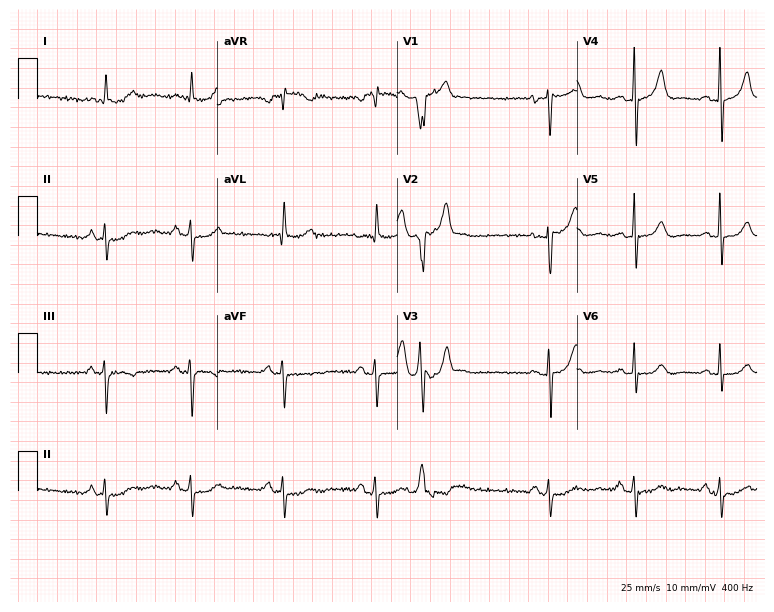
Standard 12-lead ECG recorded from a male, 80 years old (7.3-second recording at 400 Hz). None of these six findings is recorded: first-degree AV block, right bundle branch block (RBBB), left bundle branch block (LBBB), sinus bradycardia, atrial fibrillation (AF), sinus tachycardia. Other findings, if any, are not listed.